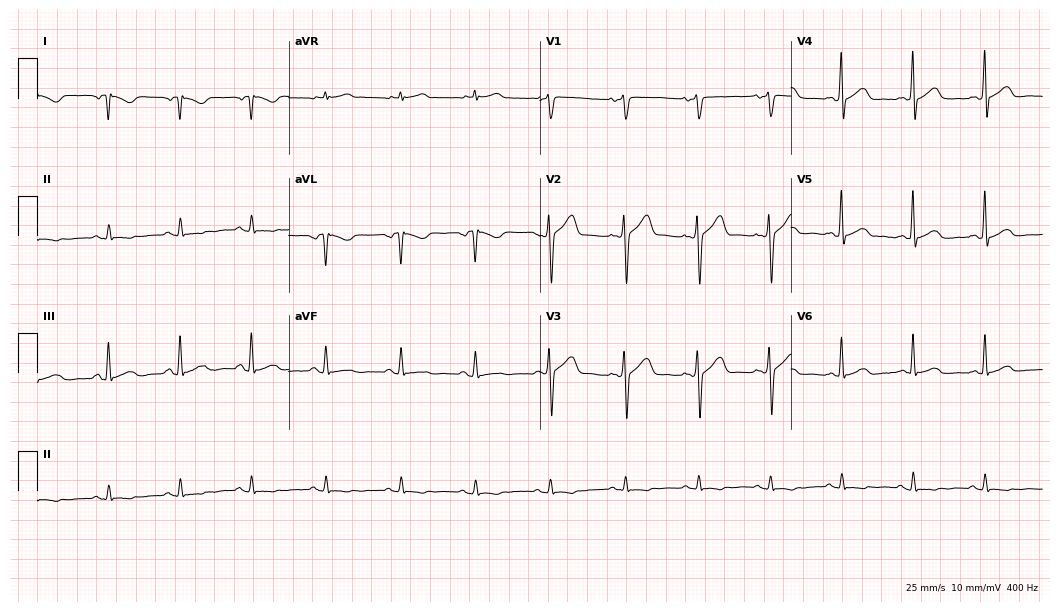
12-lead ECG from a male, 36 years old. Screened for six findings — first-degree AV block, right bundle branch block, left bundle branch block, sinus bradycardia, atrial fibrillation, sinus tachycardia — none is recorded. Other findings, if any, are not listed.